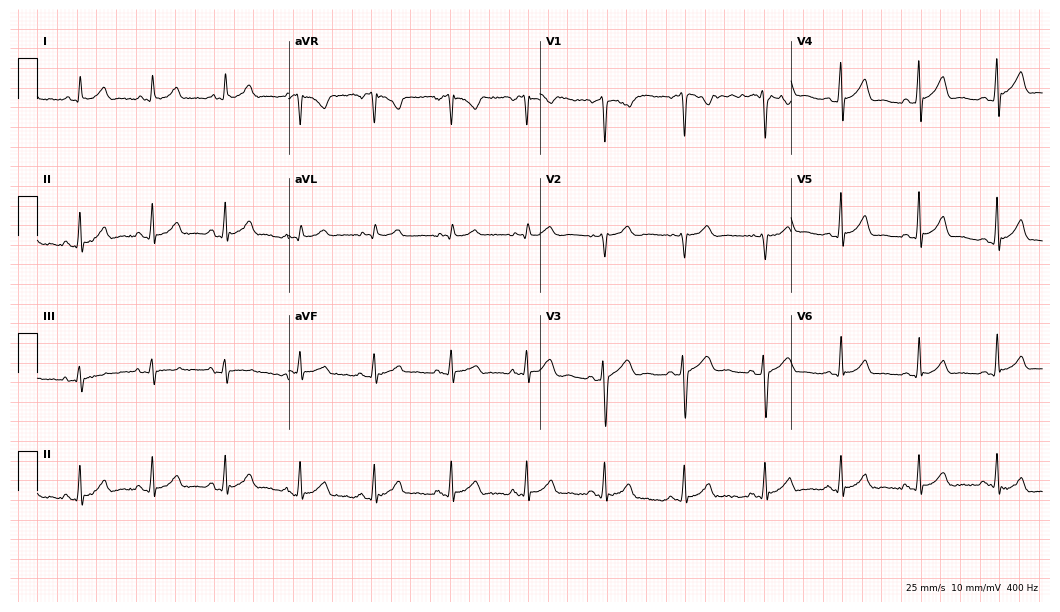
12-lead ECG (10.2-second recording at 400 Hz) from a 21-year-old male patient. Labelled as a normal ECG.